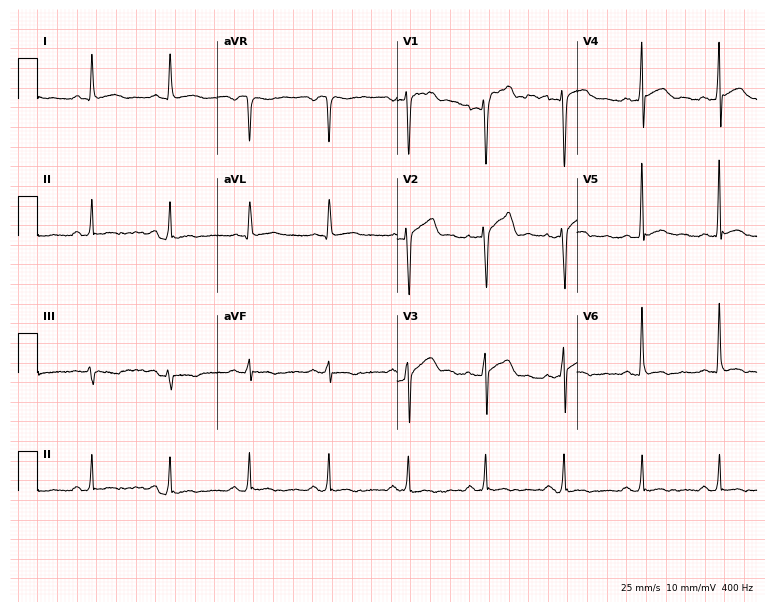
Electrocardiogram, a 41-year-old man. Of the six screened findings (first-degree AV block, right bundle branch block (RBBB), left bundle branch block (LBBB), sinus bradycardia, atrial fibrillation (AF), sinus tachycardia), none is recorded. Only these six findings were labelled.